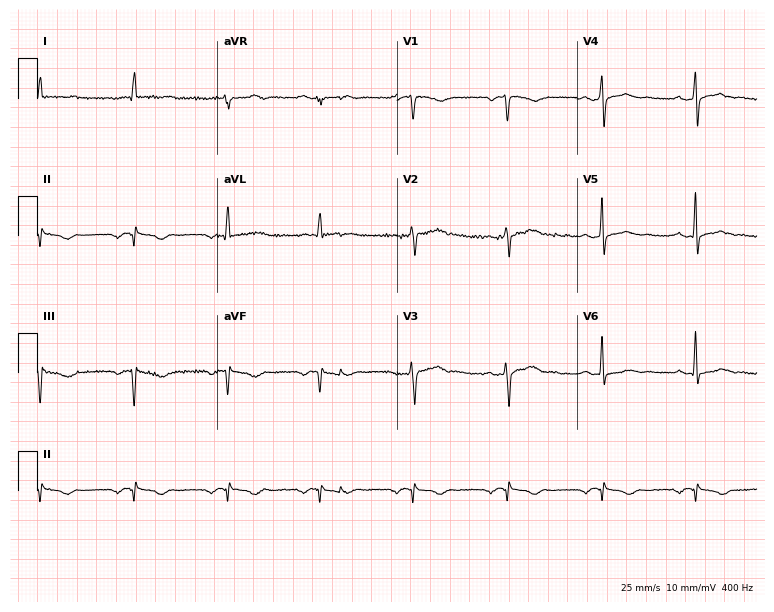
12-lead ECG (7.3-second recording at 400 Hz) from a male, 64 years old. Screened for six findings — first-degree AV block, right bundle branch block, left bundle branch block, sinus bradycardia, atrial fibrillation, sinus tachycardia — none is recorded.